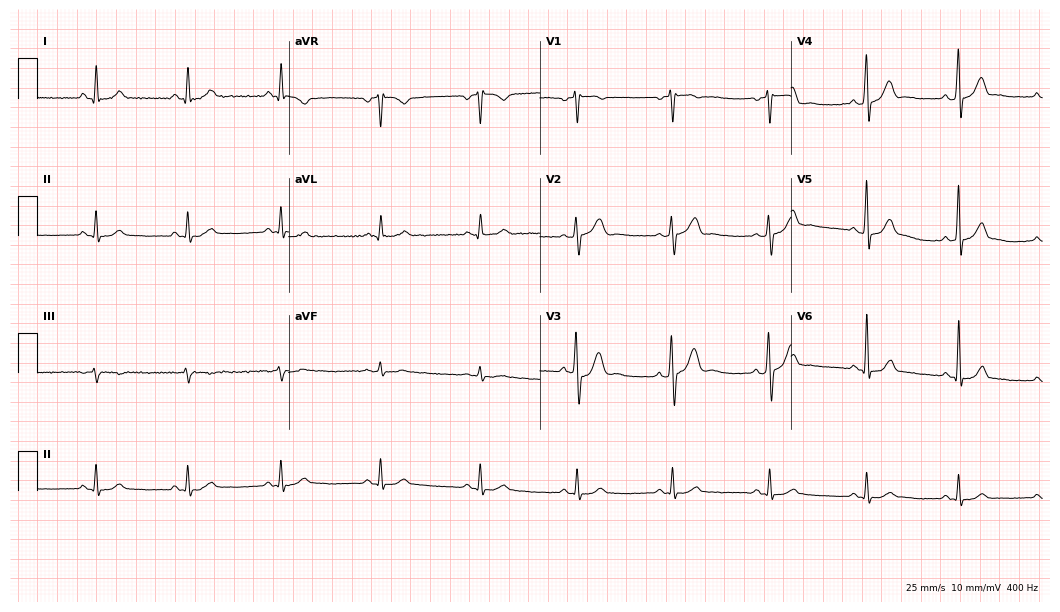
12-lead ECG from a man, 38 years old. Labelled as a normal ECG.